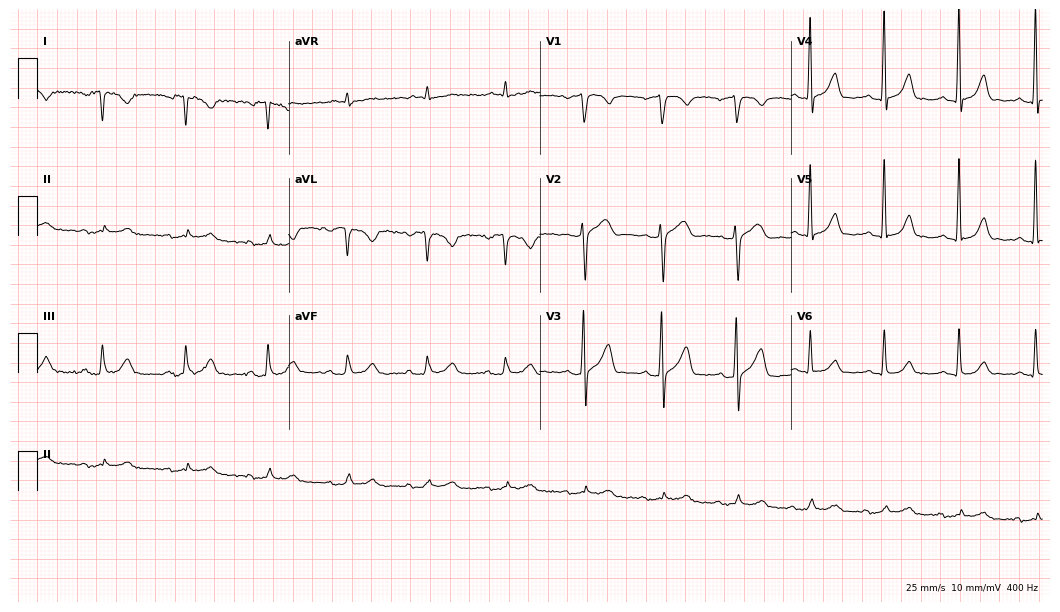
ECG — a female, 64 years old. Screened for six findings — first-degree AV block, right bundle branch block (RBBB), left bundle branch block (LBBB), sinus bradycardia, atrial fibrillation (AF), sinus tachycardia — none is recorded.